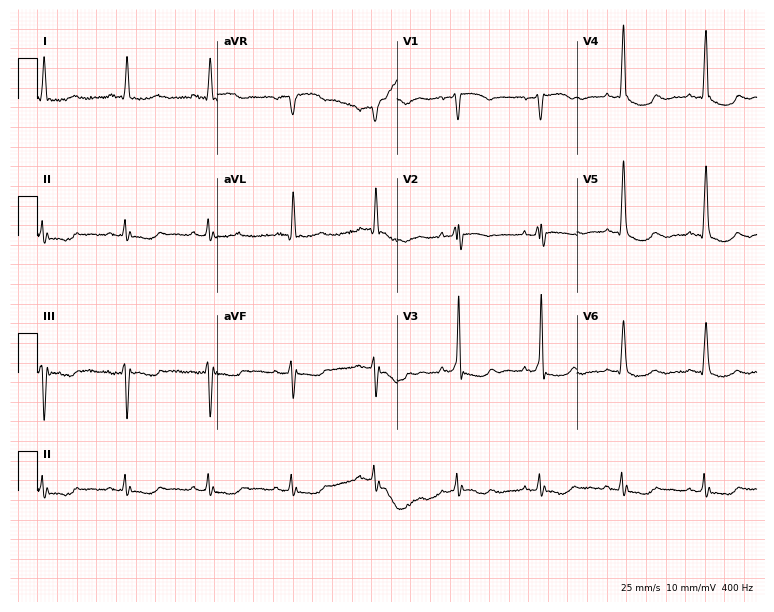
Standard 12-lead ECG recorded from a female patient, 74 years old (7.3-second recording at 400 Hz). None of these six findings is recorded: first-degree AV block, right bundle branch block, left bundle branch block, sinus bradycardia, atrial fibrillation, sinus tachycardia. Findings outside these six are not listed.